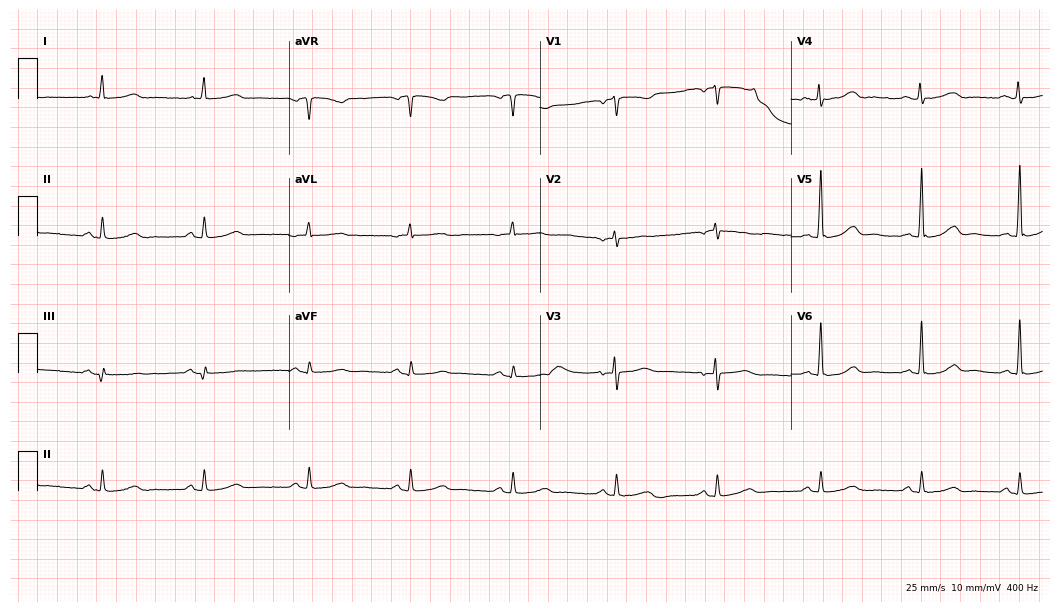
12-lead ECG from a 76-year-old female patient (10.2-second recording at 400 Hz). No first-degree AV block, right bundle branch block, left bundle branch block, sinus bradycardia, atrial fibrillation or sinus tachycardia recorded for this tracing. Findings outside these six are not listed.